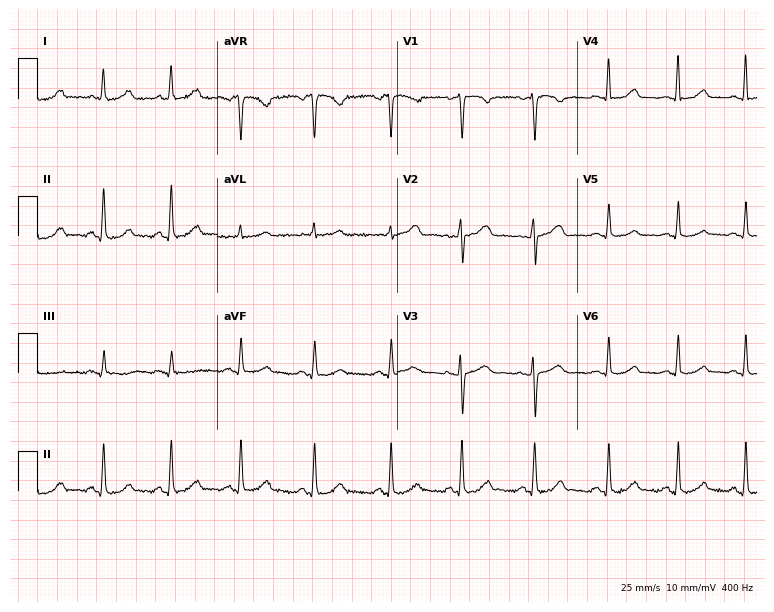
Resting 12-lead electrocardiogram (7.3-second recording at 400 Hz). Patient: a 40-year-old female. Read as a normal ECG.